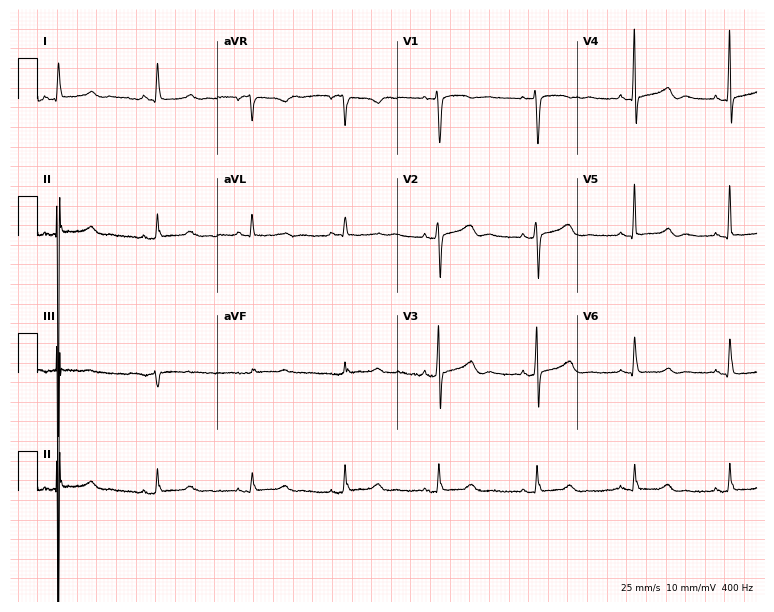
ECG (7.3-second recording at 400 Hz) — a female, 57 years old. Screened for six findings — first-degree AV block, right bundle branch block, left bundle branch block, sinus bradycardia, atrial fibrillation, sinus tachycardia — none is recorded.